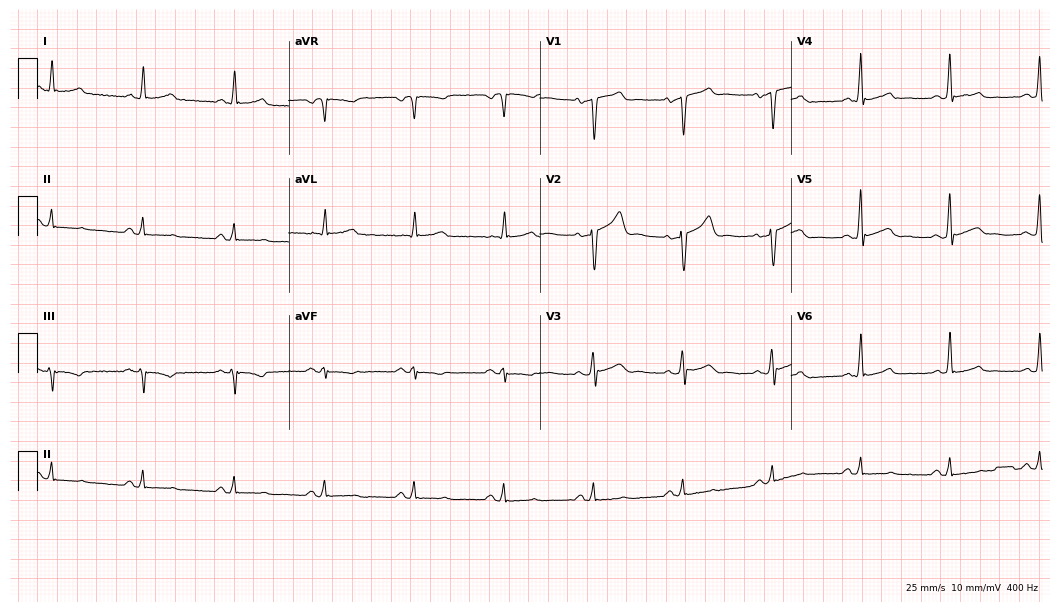
Standard 12-lead ECG recorded from a man, 44 years old. None of these six findings is recorded: first-degree AV block, right bundle branch block (RBBB), left bundle branch block (LBBB), sinus bradycardia, atrial fibrillation (AF), sinus tachycardia. Only these six findings were labelled.